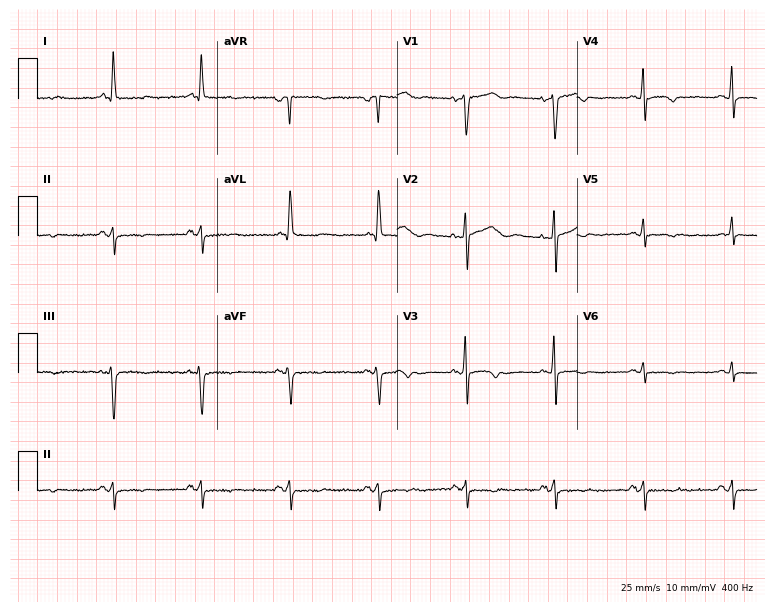
ECG — a woman, 84 years old. Screened for six findings — first-degree AV block, right bundle branch block, left bundle branch block, sinus bradycardia, atrial fibrillation, sinus tachycardia — none is recorded. Only these six findings were labelled.